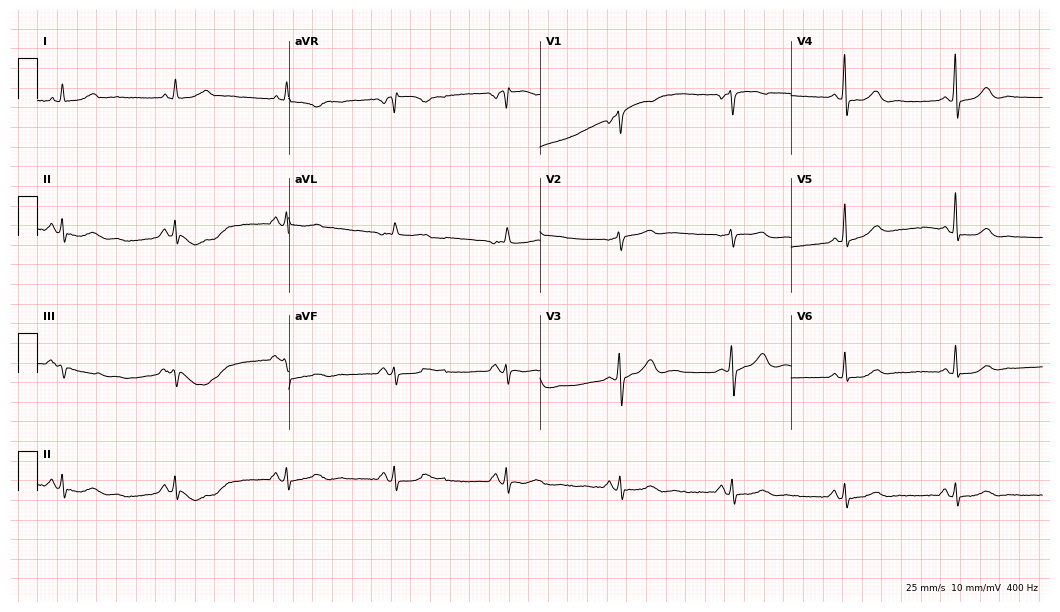
12-lead ECG from a male, 82 years old. No first-degree AV block, right bundle branch block, left bundle branch block, sinus bradycardia, atrial fibrillation or sinus tachycardia recorded for this tracing. Findings outside these six are not listed.